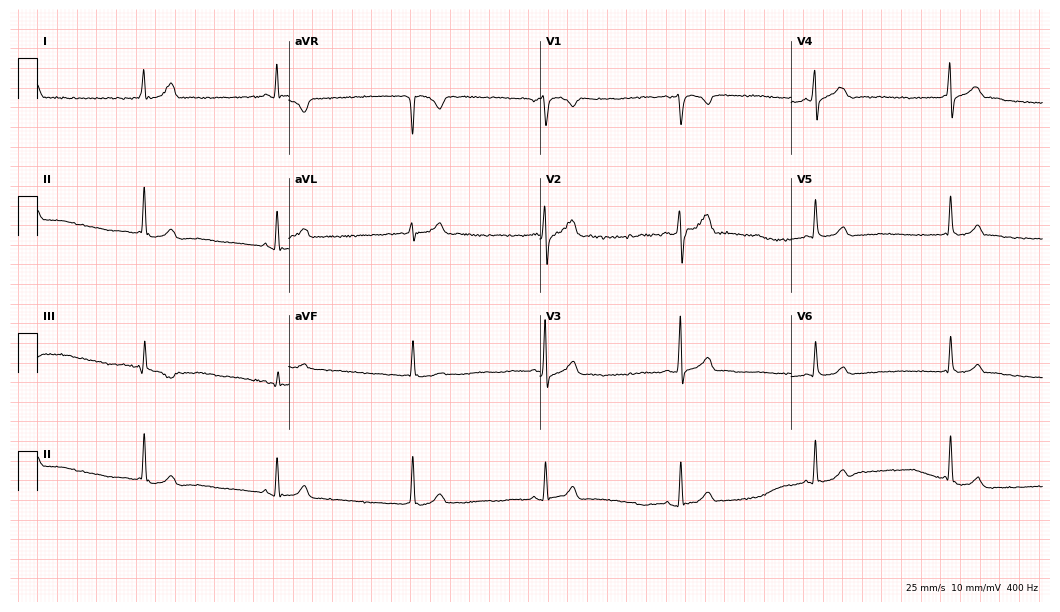
12-lead ECG from a man, 28 years old. Shows sinus bradycardia (a sinus rate of 50 beats per minute or less).